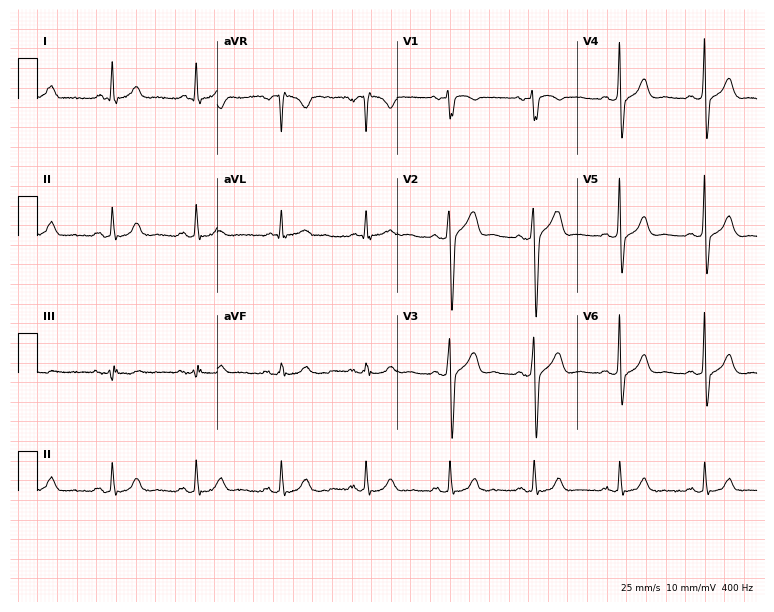
12-lead ECG (7.3-second recording at 400 Hz) from a 52-year-old male. Labelled as a normal ECG.